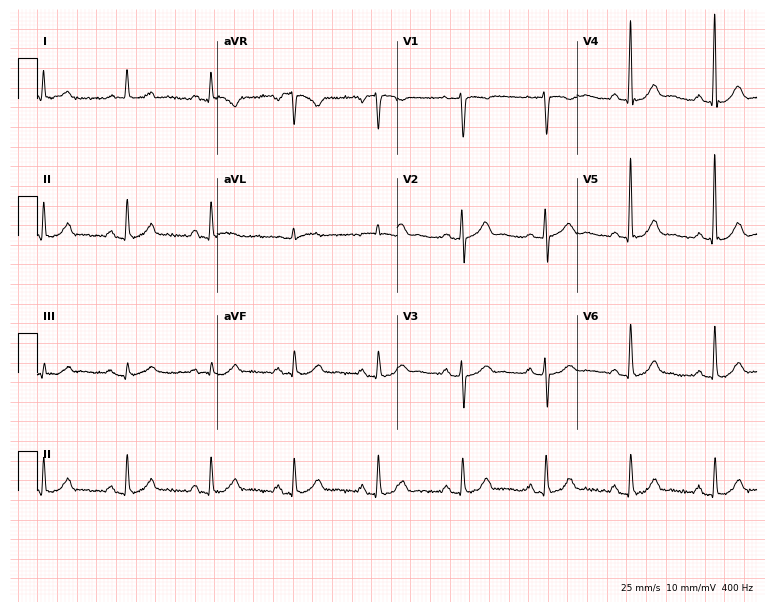
ECG (7.3-second recording at 400 Hz) — a male patient, 88 years old. Labelled as a normal ECG.